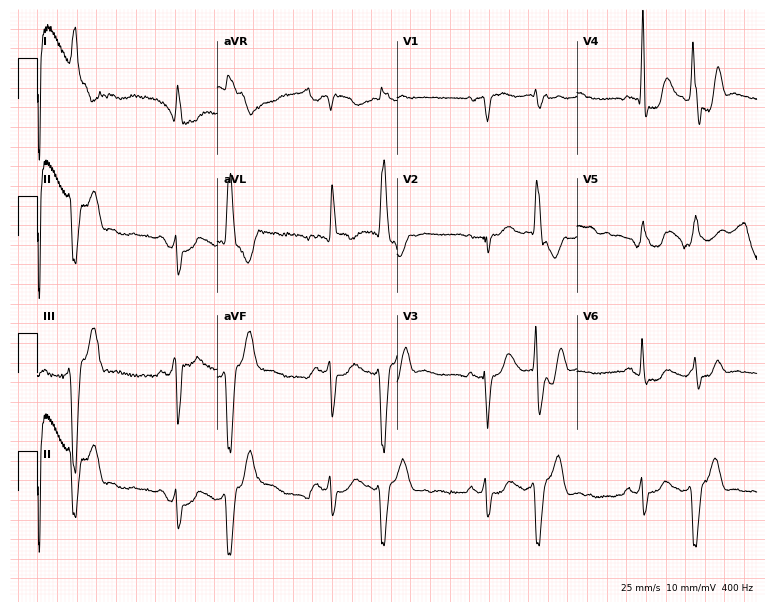
12-lead ECG from a female, 74 years old (7.3-second recording at 400 Hz). No first-degree AV block, right bundle branch block (RBBB), left bundle branch block (LBBB), sinus bradycardia, atrial fibrillation (AF) or sinus tachycardia recorded for this tracing. Findings outside these six are not listed.